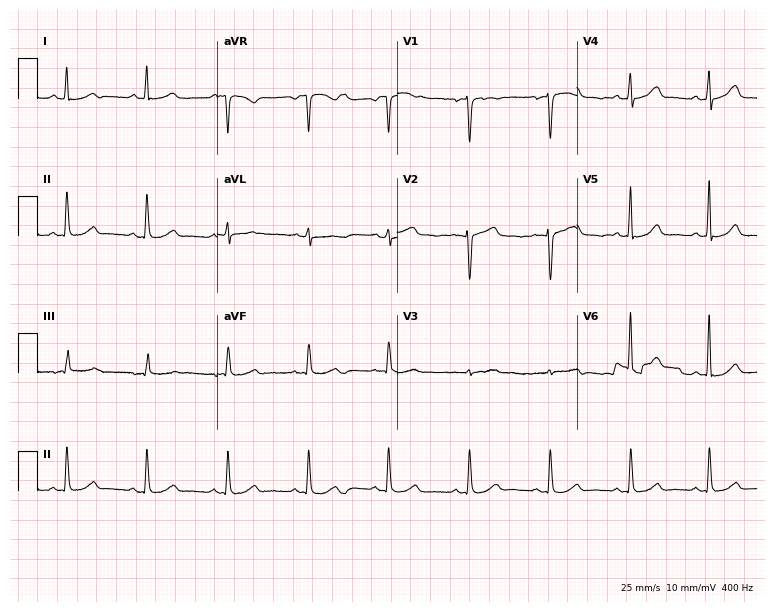
Standard 12-lead ECG recorded from a female, 45 years old (7.3-second recording at 400 Hz). Read as a normal ECG.